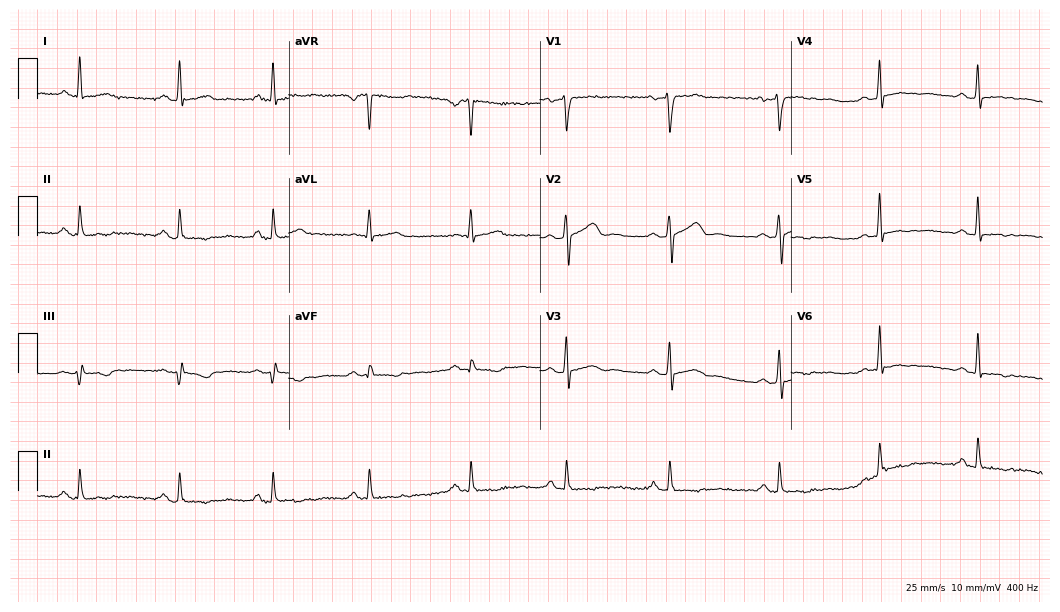
Electrocardiogram, a man, 57 years old. Overall reading on record: normal ECG.